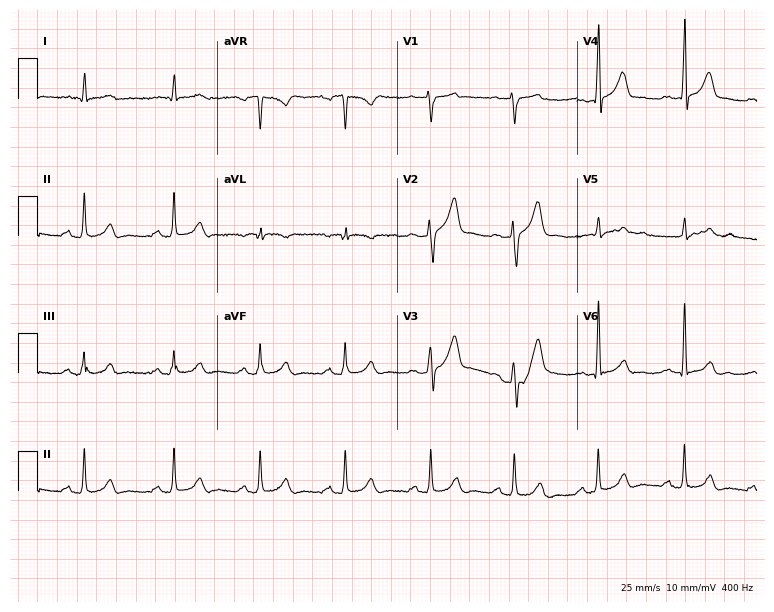
Standard 12-lead ECG recorded from a 46-year-old male patient. Read as a normal ECG.